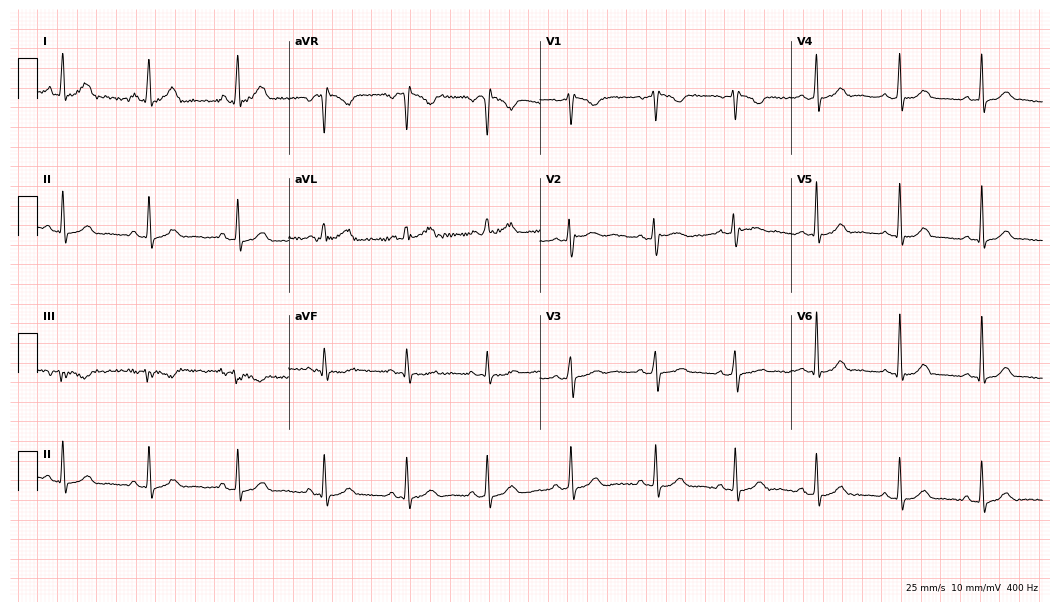
Electrocardiogram, a 29-year-old female patient. Overall reading on record: normal ECG.